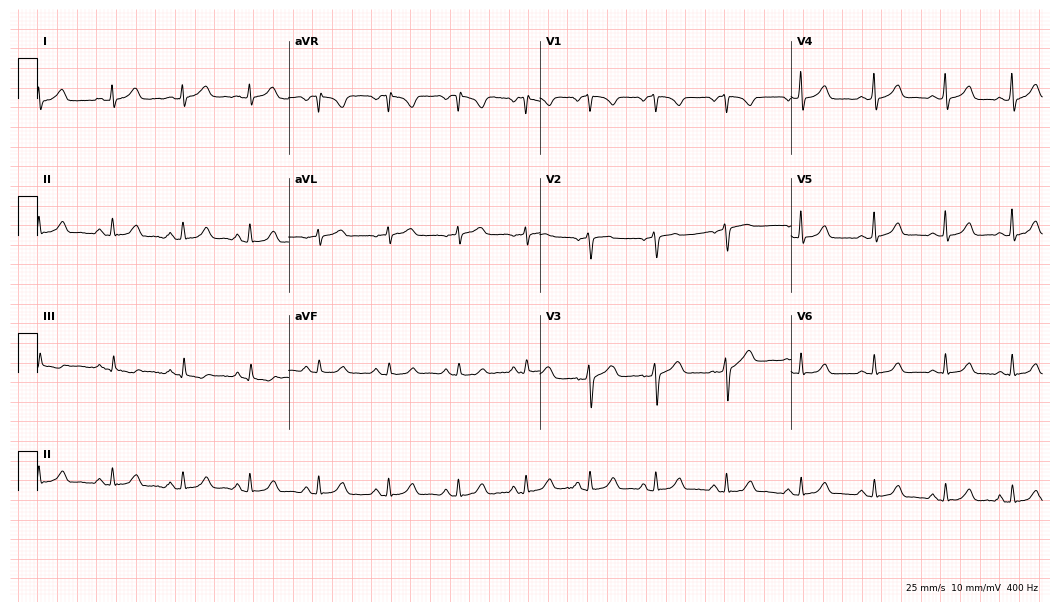
Resting 12-lead electrocardiogram (10.2-second recording at 400 Hz). Patient: a 42-year-old female. None of these six findings is recorded: first-degree AV block, right bundle branch block (RBBB), left bundle branch block (LBBB), sinus bradycardia, atrial fibrillation (AF), sinus tachycardia.